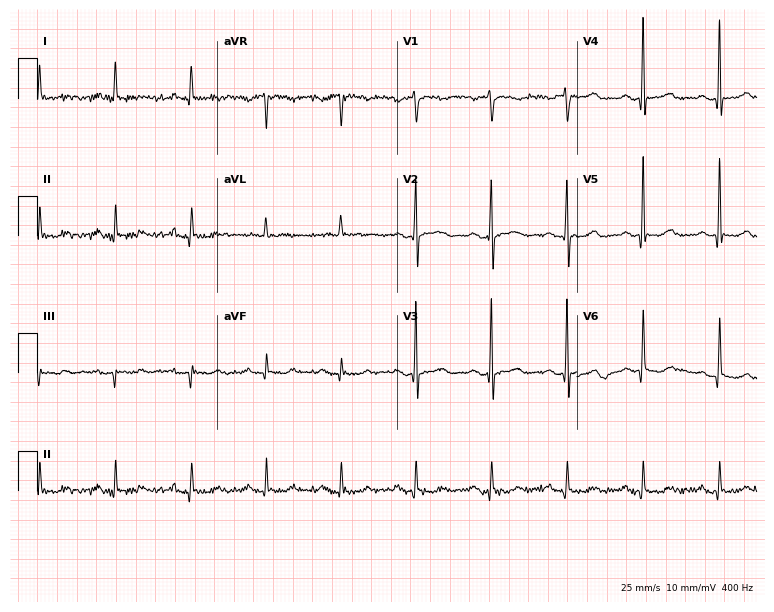
Electrocardiogram (7.3-second recording at 400 Hz), a man, 82 years old. Of the six screened findings (first-degree AV block, right bundle branch block, left bundle branch block, sinus bradycardia, atrial fibrillation, sinus tachycardia), none is recorded.